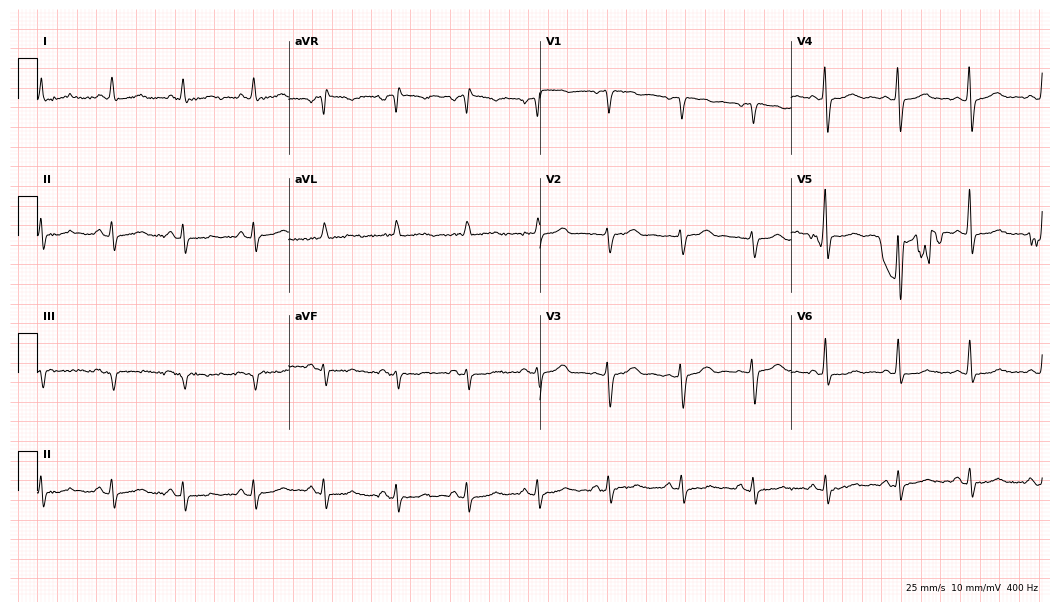
Electrocardiogram (10.2-second recording at 400 Hz), a 70-year-old female patient. Of the six screened findings (first-degree AV block, right bundle branch block (RBBB), left bundle branch block (LBBB), sinus bradycardia, atrial fibrillation (AF), sinus tachycardia), none is recorded. Only these six findings were labelled.